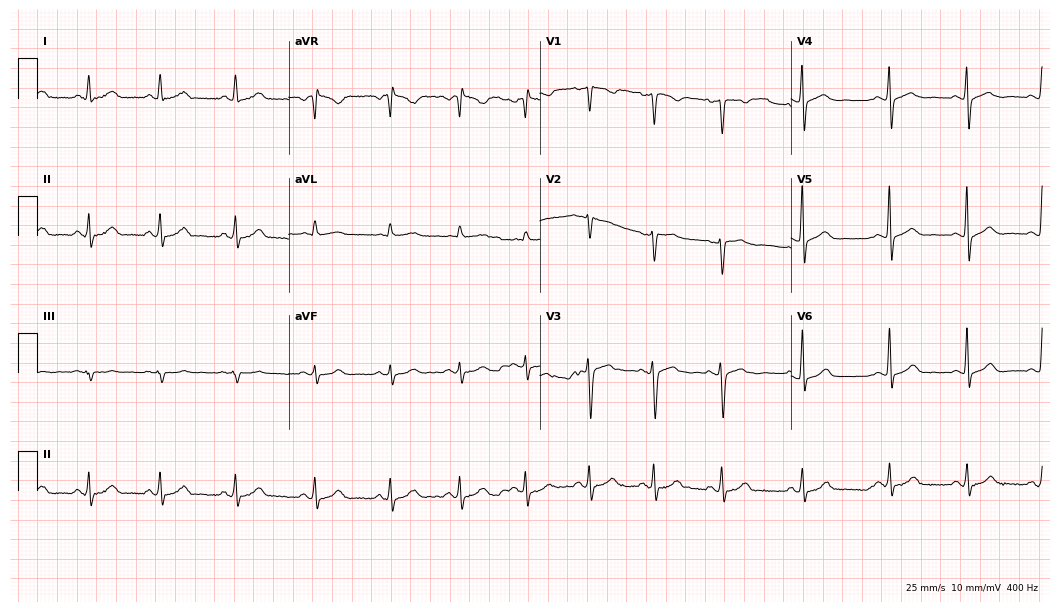
Standard 12-lead ECG recorded from a 39-year-old female patient. Read as a normal ECG.